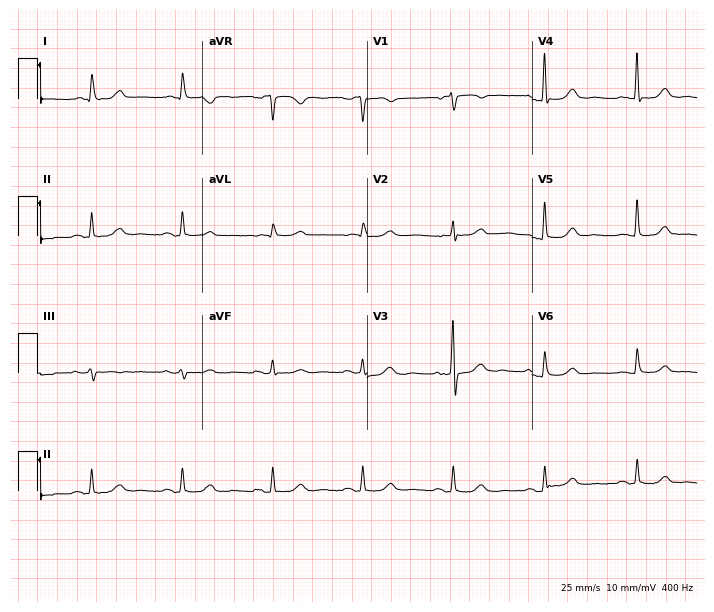
12-lead ECG from a 71-year-old female patient. No first-degree AV block, right bundle branch block, left bundle branch block, sinus bradycardia, atrial fibrillation or sinus tachycardia recorded for this tracing.